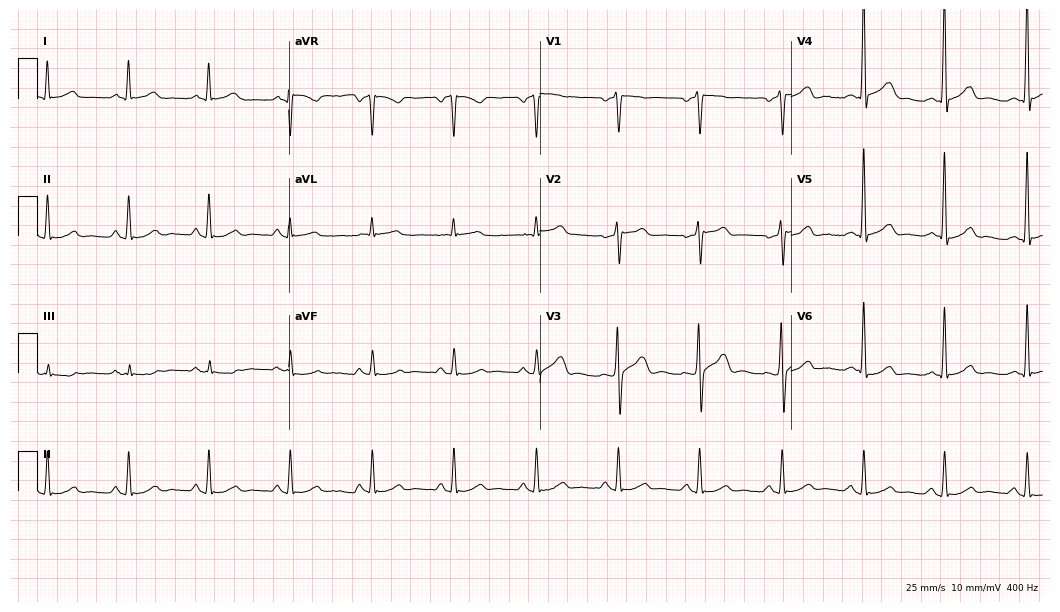
12-lead ECG from a 56-year-old man (10.2-second recording at 400 Hz). Recorded interpretation: within normal limits.